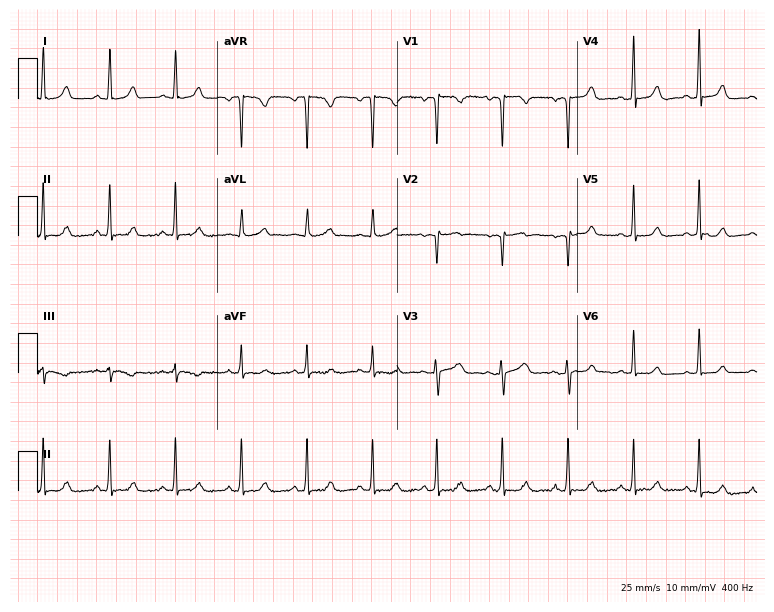
Electrocardiogram (7.3-second recording at 400 Hz), a 29-year-old woman. Overall reading on record: normal ECG.